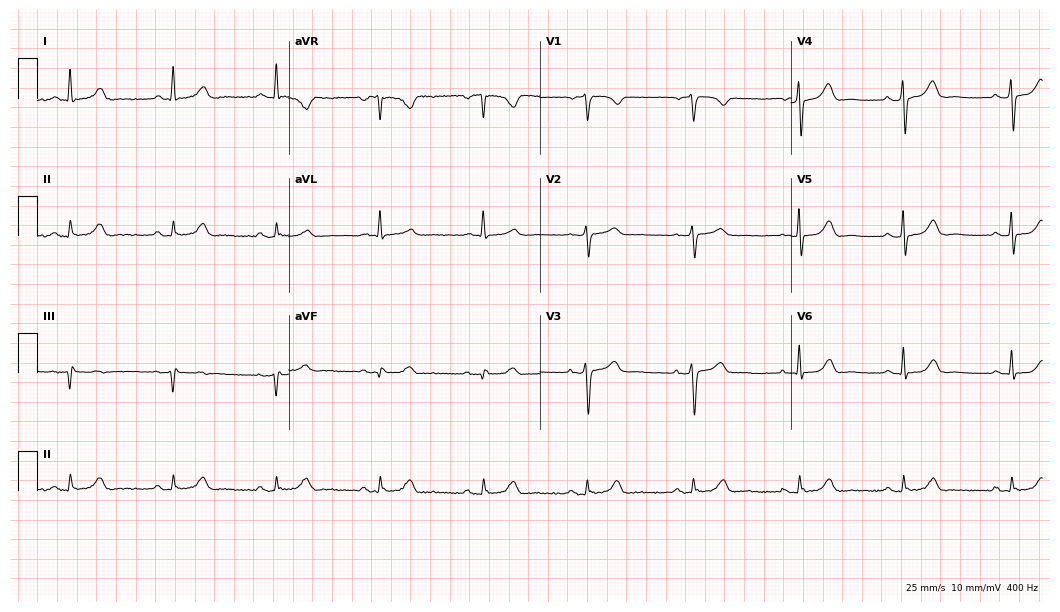
Resting 12-lead electrocardiogram (10.2-second recording at 400 Hz). Patient: a female, 52 years old. None of these six findings is recorded: first-degree AV block, right bundle branch block, left bundle branch block, sinus bradycardia, atrial fibrillation, sinus tachycardia. Only these six findings were labelled.